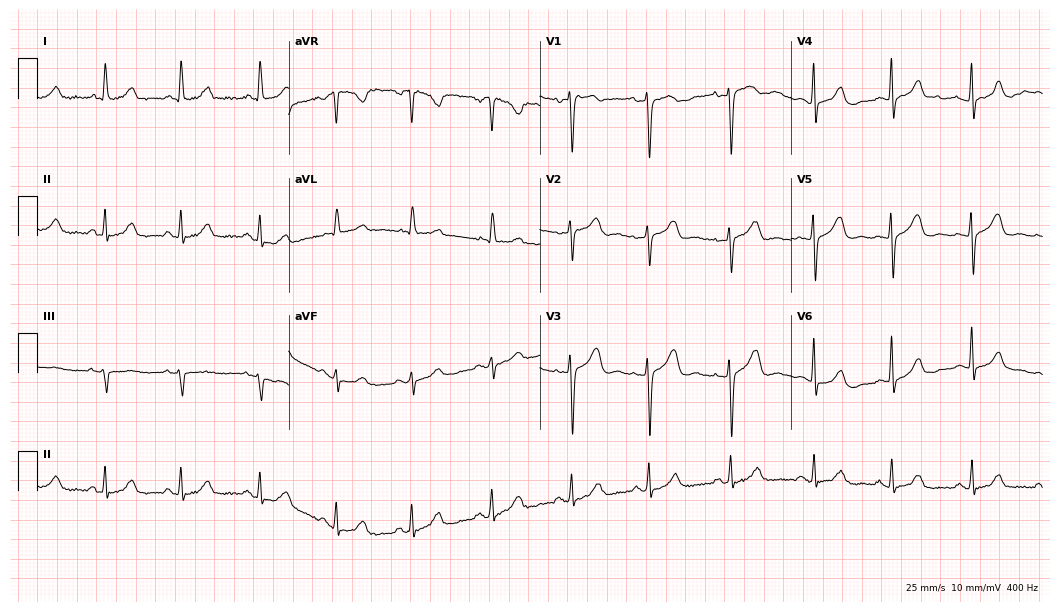
ECG (10.2-second recording at 400 Hz) — a 43-year-old woman. Labelled as a normal ECG.